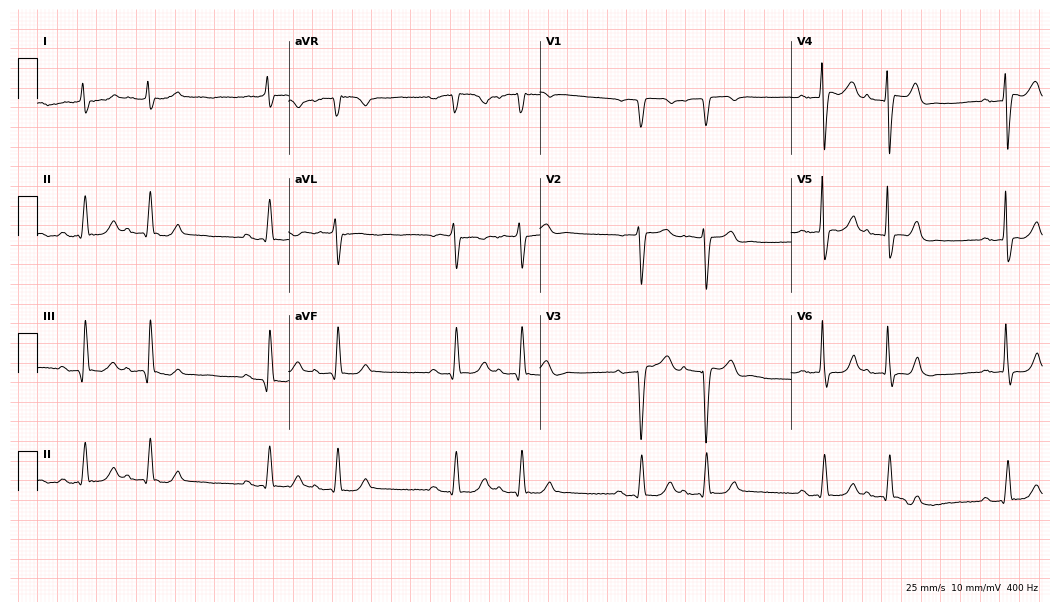
Standard 12-lead ECG recorded from a 66-year-old man (10.2-second recording at 400 Hz). None of these six findings is recorded: first-degree AV block, right bundle branch block (RBBB), left bundle branch block (LBBB), sinus bradycardia, atrial fibrillation (AF), sinus tachycardia.